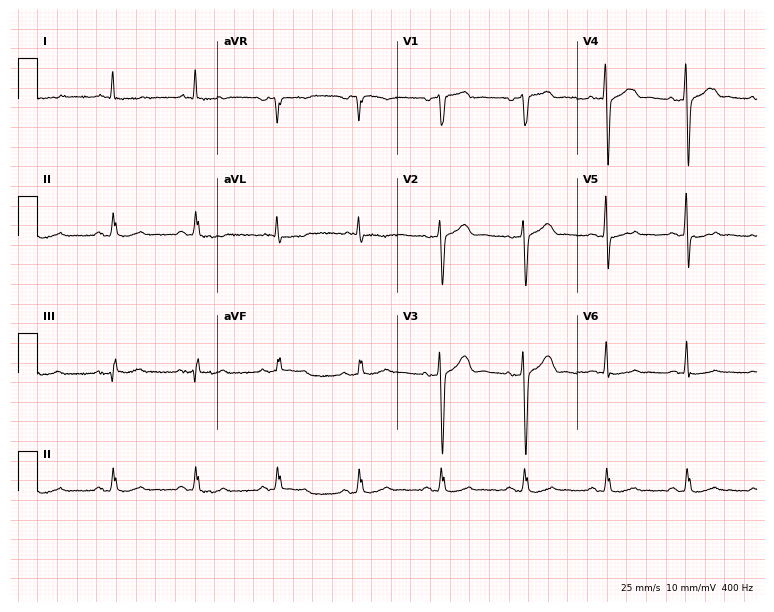
Electrocardiogram, a man, 66 years old. Of the six screened findings (first-degree AV block, right bundle branch block (RBBB), left bundle branch block (LBBB), sinus bradycardia, atrial fibrillation (AF), sinus tachycardia), none is recorded. Only these six findings were labelled.